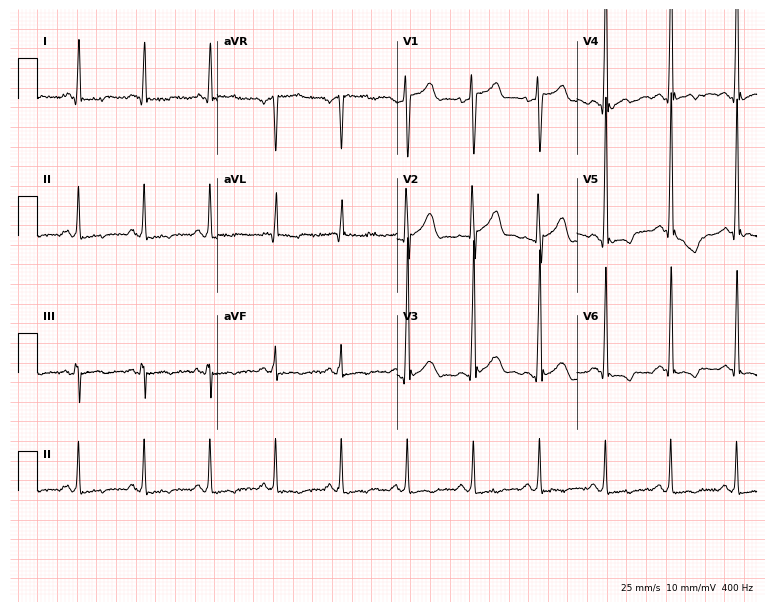
Resting 12-lead electrocardiogram. Patient: a 59-year-old male. None of these six findings is recorded: first-degree AV block, right bundle branch block, left bundle branch block, sinus bradycardia, atrial fibrillation, sinus tachycardia. Findings outside these six are not listed.